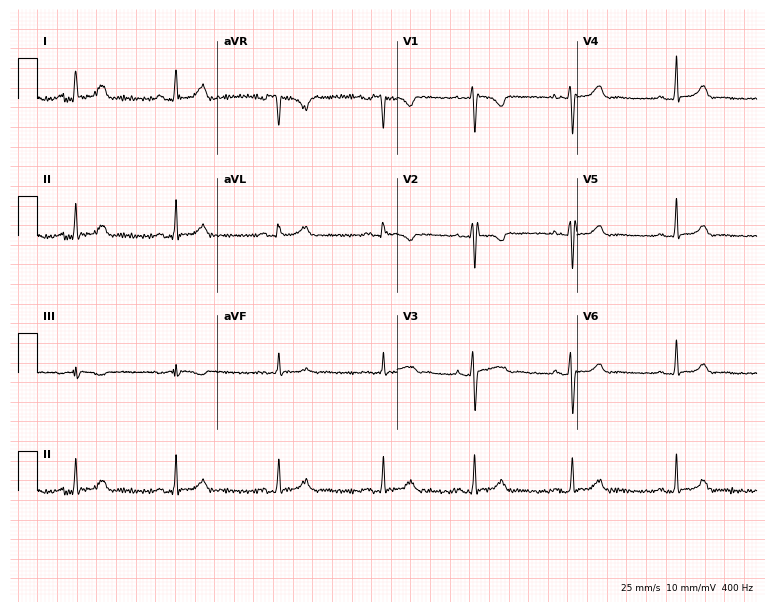
12-lead ECG from a female, 32 years old. Recorded interpretation: within normal limits.